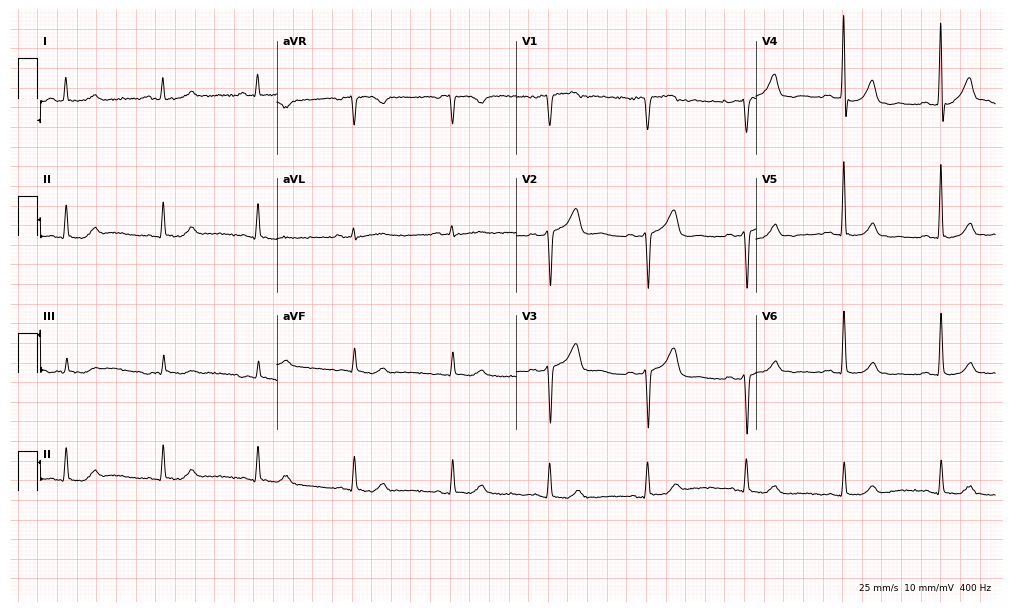
ECG (9.8-second recording at 400 Hz) — a man, 72 years old. Screened for six findings — first-degree AV block, right bundle branch block, left bundle branch block, sinus bradycardia, atrial fibrillation, sinus tachycardia — none is recorded. Only these six findings were labelled.